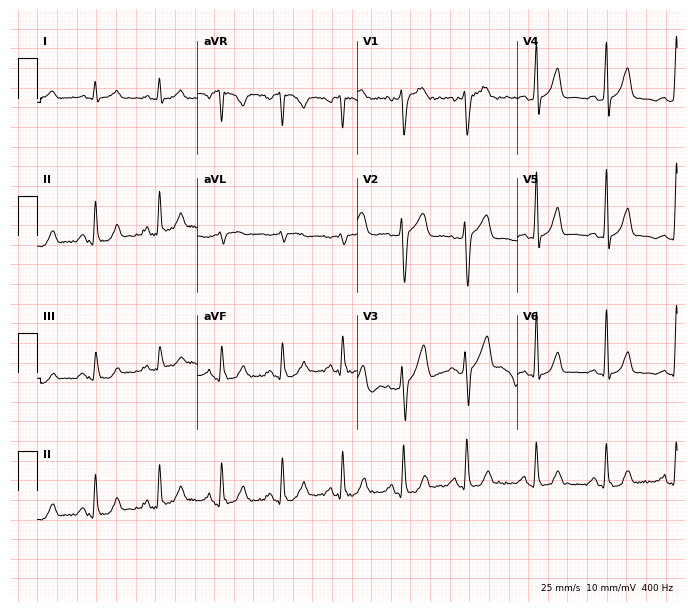
12-lead ECG from a man, 57 years old. Screened for six findings — first-degree AV block, right bundle branch block, left bundle branch block, sinus bradycardia, atrial fibrillation, sinus tachycardia — none is recorded.